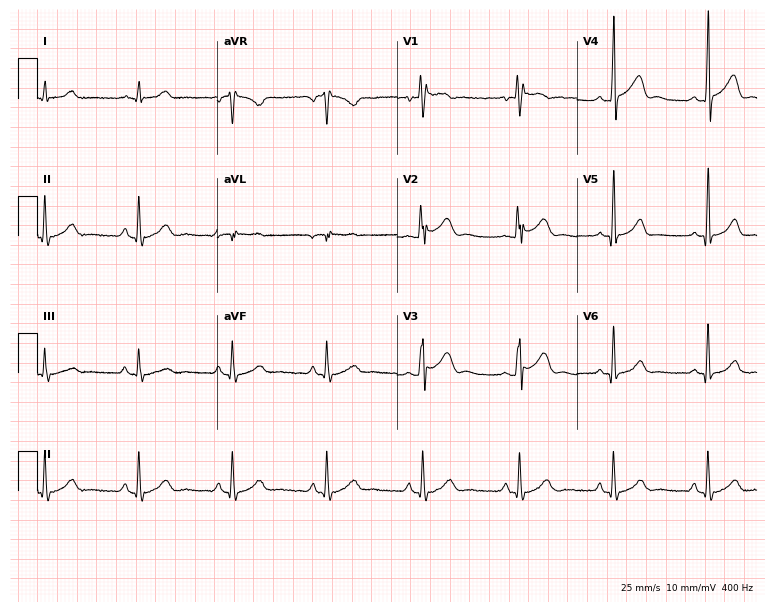
Electrocardiogram (7.3-second recording at 400 Hz), a 31-year-old male. Overall reading on record: normal ECG.